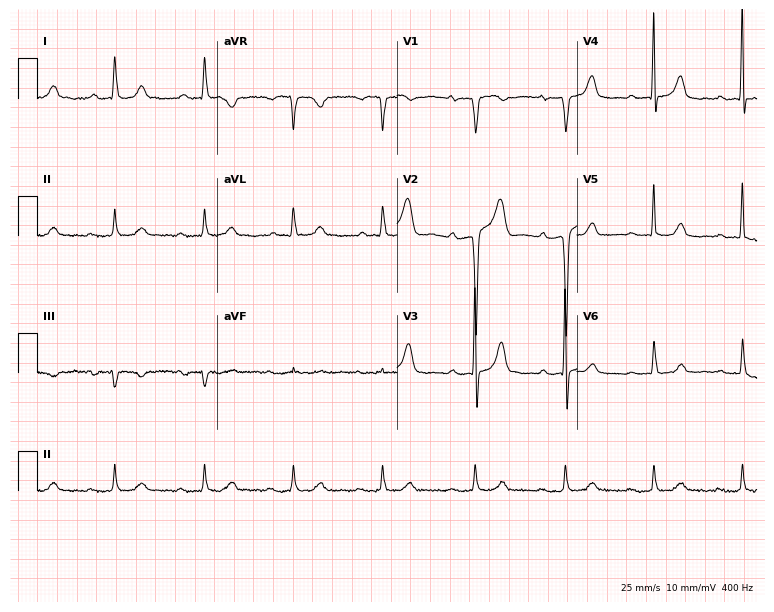
12-lead ECG from a female patient, 81 years old. Findings include first-degree AV block.